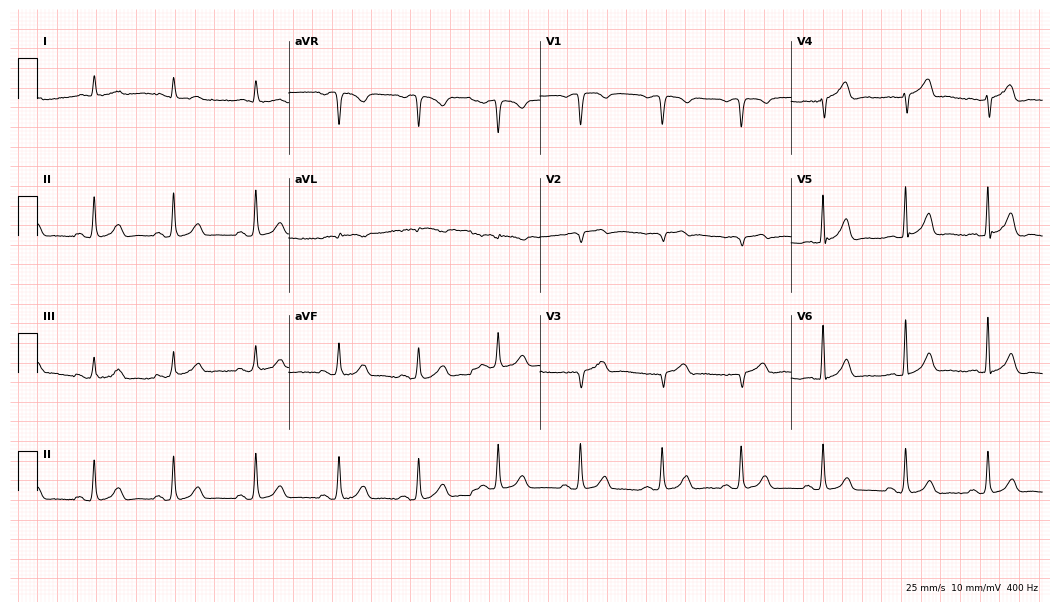
12-lead ECG (10.2-second recording at 400 Hz) from a male, 70 years old. Screened for six findings — first-degree AV block, right bundle branch block (RBBB), left bundle branch block (LBBB), sinus bradycardia, atrial fibrillation (AF), sinus tachycardia — none is recorded.